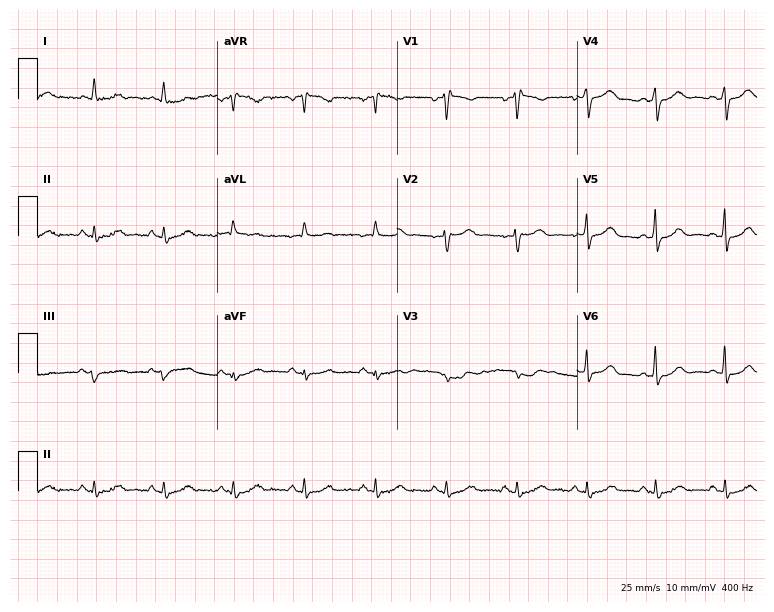
Standard 12-lead ECG recorded from a woman, 57 years old (7.3-second recording at 400 Hz). None of these six findings is recorded: first-degree AV block, right bundle branch block, left bundle branch block, sinus bradycardia, atrial fibrillation, sinus tachycardia.